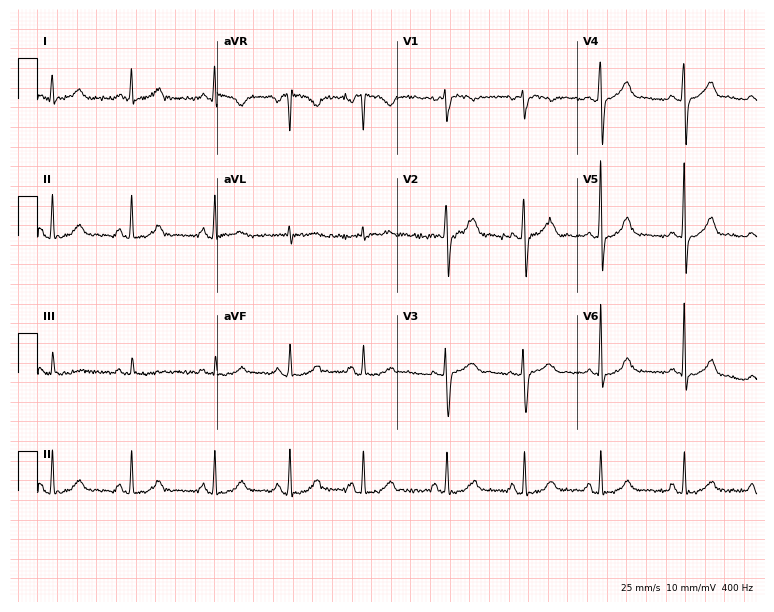
Resting 12-lead electrocardiogram. Patient: a 40-year-old female. Read as a normal ECG.